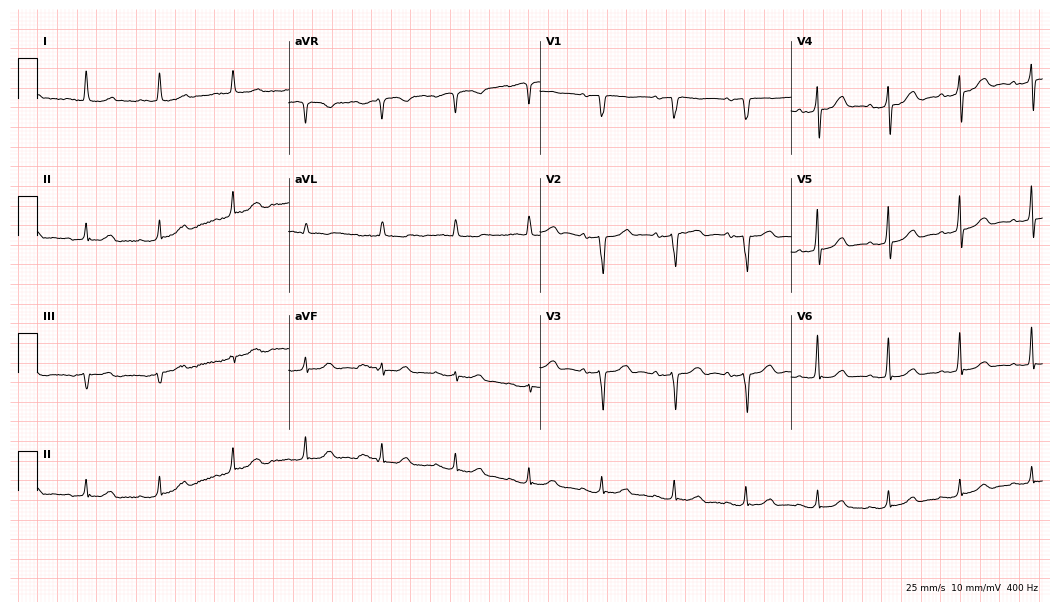
ECG — an 85-year-old female patient. Screened for six findings — first-degree AV block, right bundle branch block, left bundle branch block, sinus bradycardia, atrial fibrillation, sinus tachycardia — none is recorded.